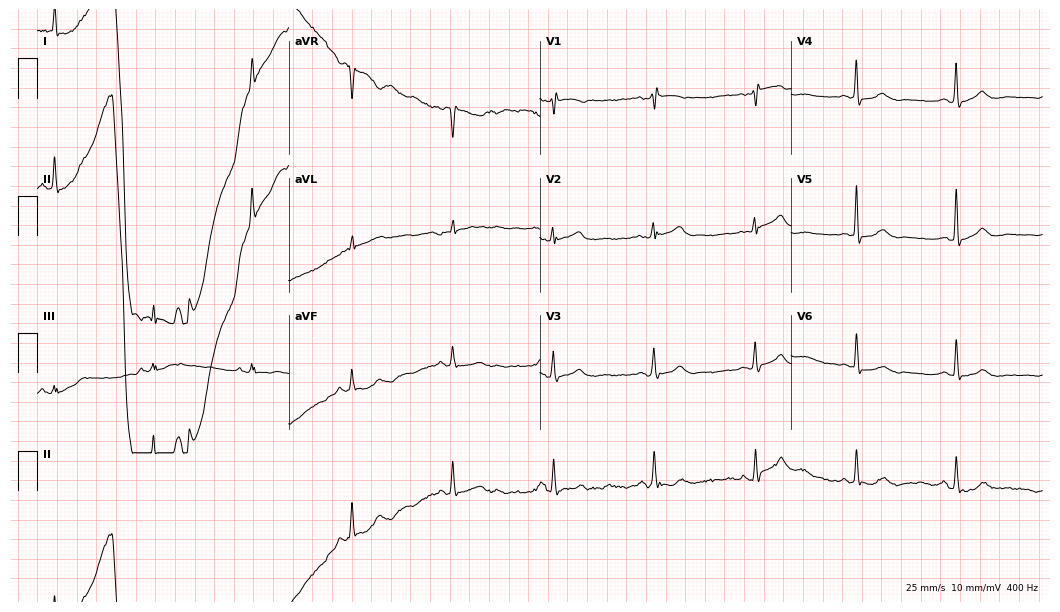
ECG (10.2-second recording at 400 Hz) — an 80-year-old female. Labelled as a normal ECG.